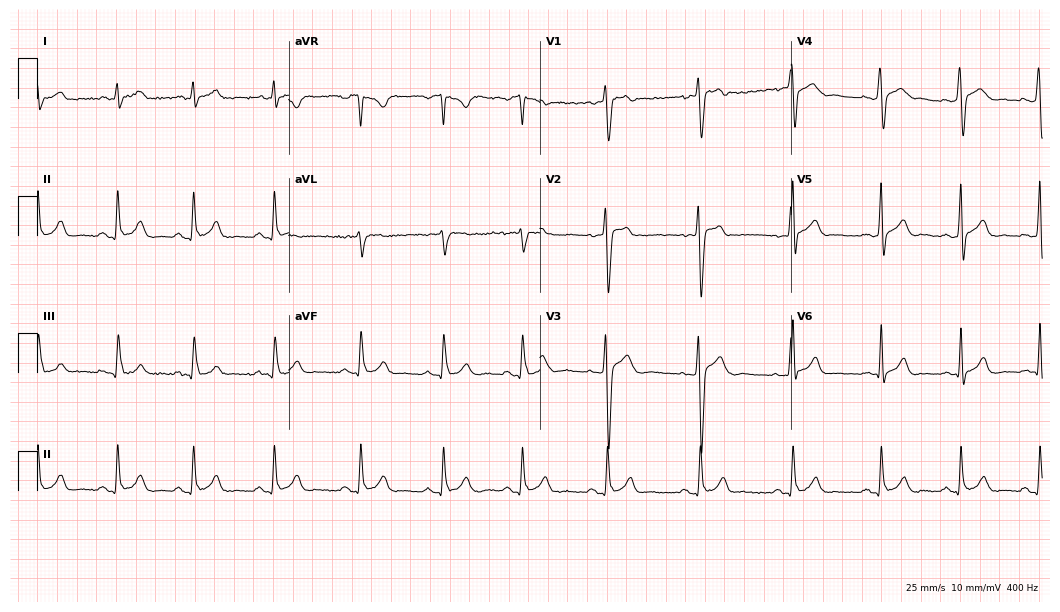
12-lead ECG (10.2-second recording at 400 Hz) from a 19-year-old man. Screened for six findings — first-degree AV block, right bundle branch block, left bundle branch block, sinus bradycardia, atrial fibrillation, sinus tachycardia — none is recorded.